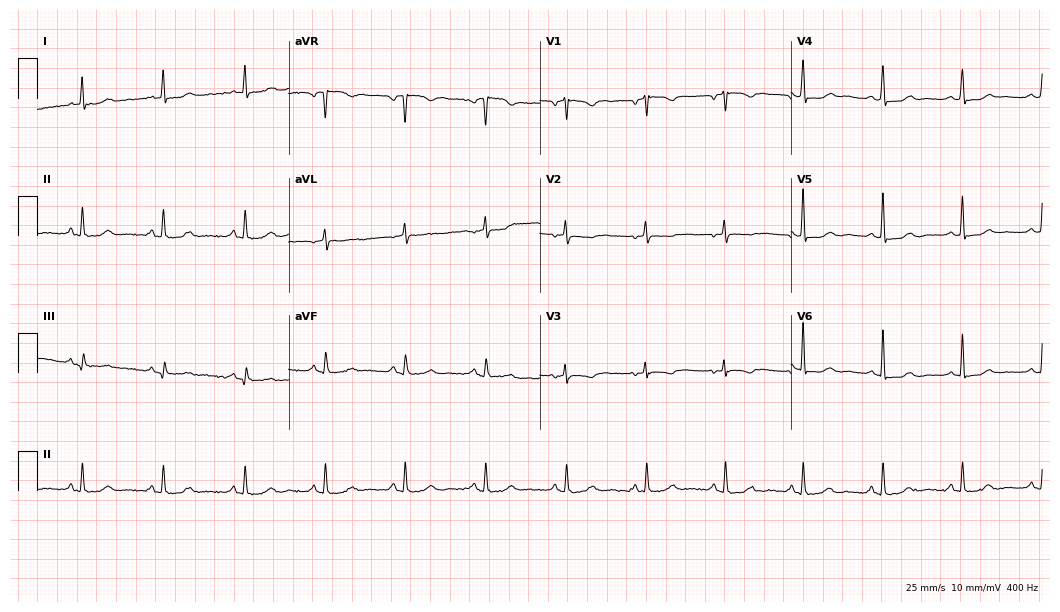
Electrocardiogram, a woman, 59 years old. Overall reading on record: normal ECG.